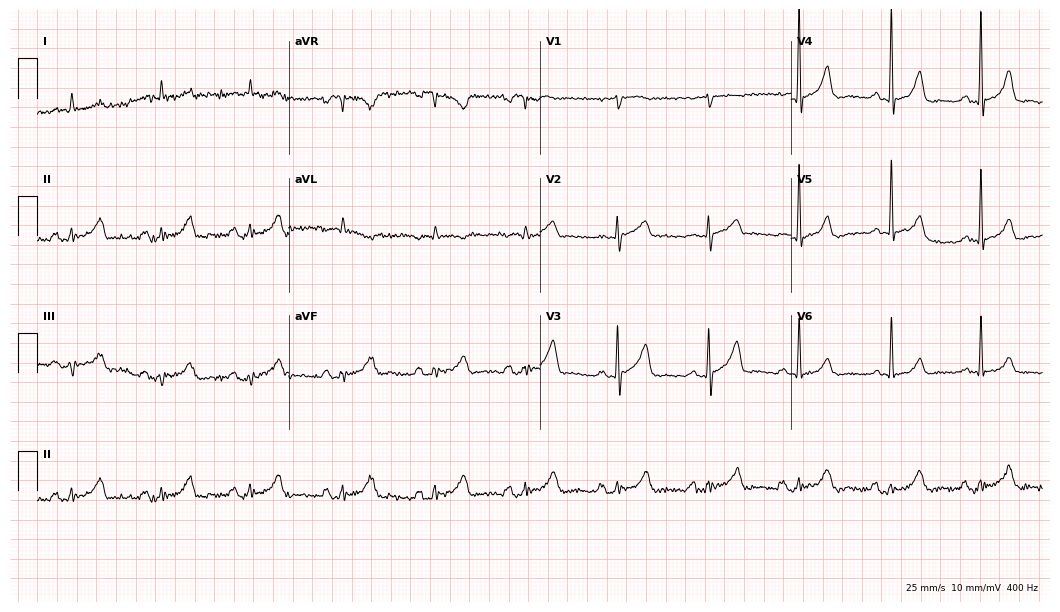
ECG — a 79-year-old male. Screened for six findings — first-degree AV block, right bundle branch block, left bundle branch block, sinus bradycardia, atrial fibrillation, sinus tachycardia — none is recorded. Findings outside these six are not listed.